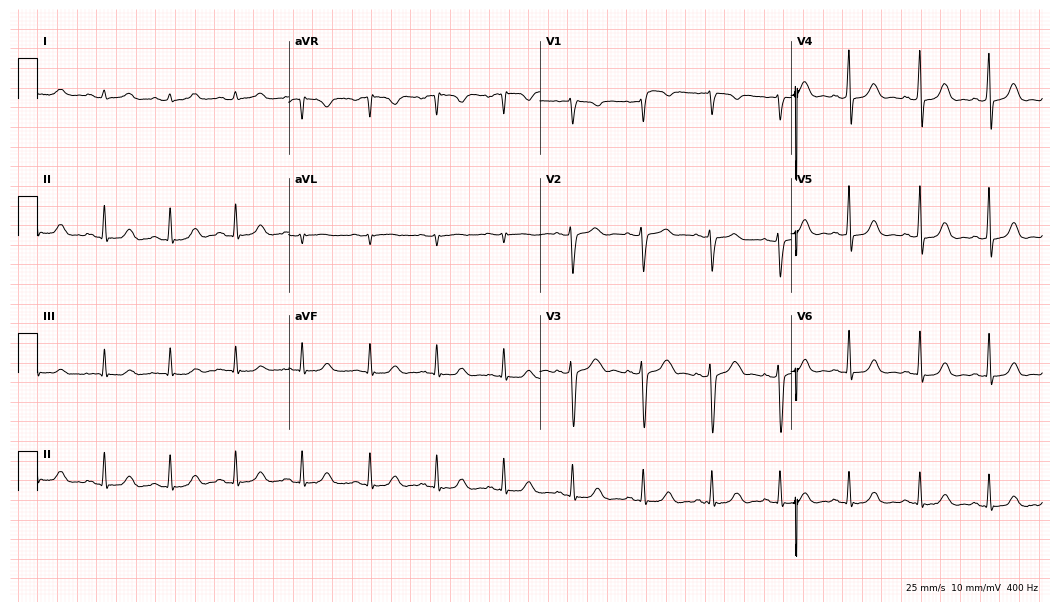
12-lead ECG from a woman, 31 years old. Labelled as a normal ECG.